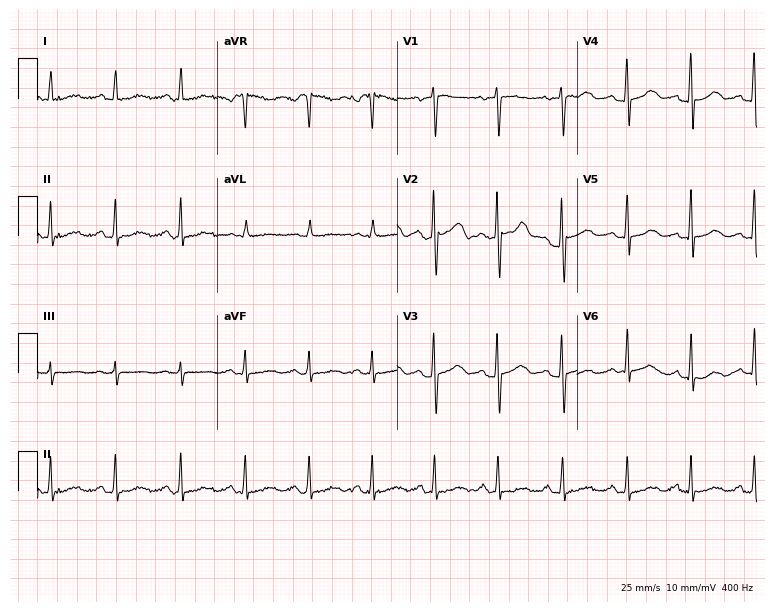
12-lead ECG from a 37-year-old woman (7.3-second recording at 400 Hz). No first-degree AV block, right bundle branch block, left bundle branch block, sinus bradycardia, atrial fibrillation or sinus tachycardia recorded for this tracing.